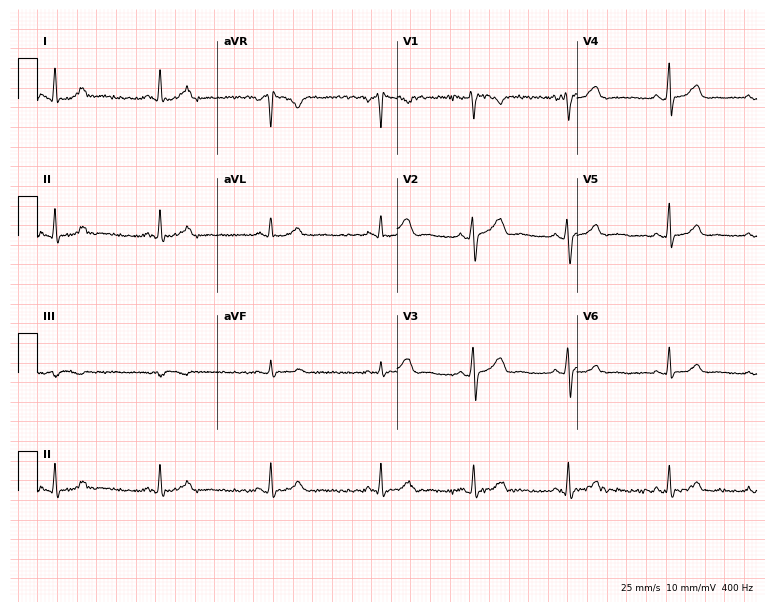
ECG — a woman, 31 years old. Labelled as a normal ECG.